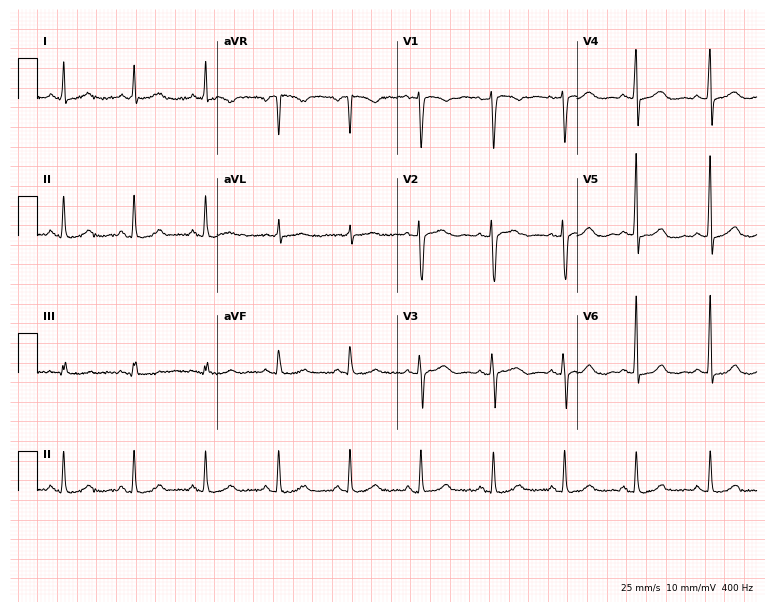
ECG — a 48-year-old female patient. Labelled as a normal ECG.